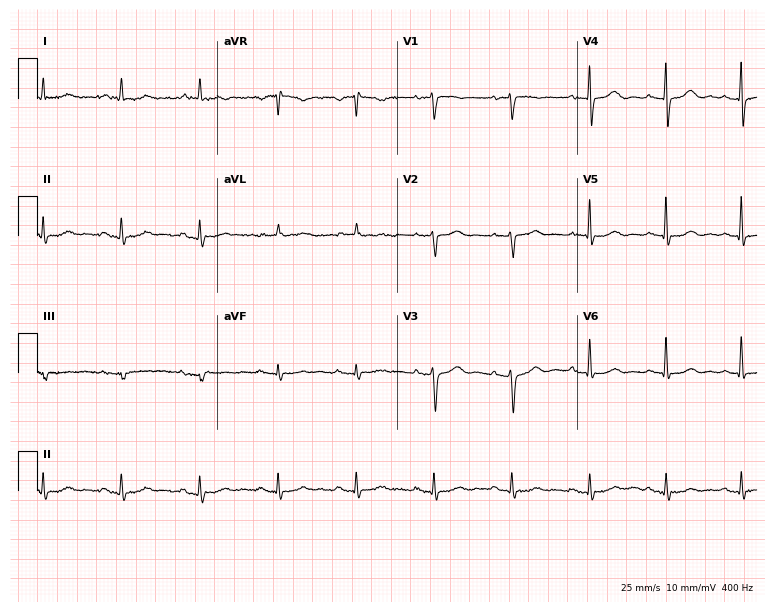
Standard 12-lead ECG recorded from a female, 75 years old. None of these six findings is recorded: first-degree AV block, right bundle branch block, left bundle branch block, sinus bradycardia, atrial fibrillation, sinus tachycardia.